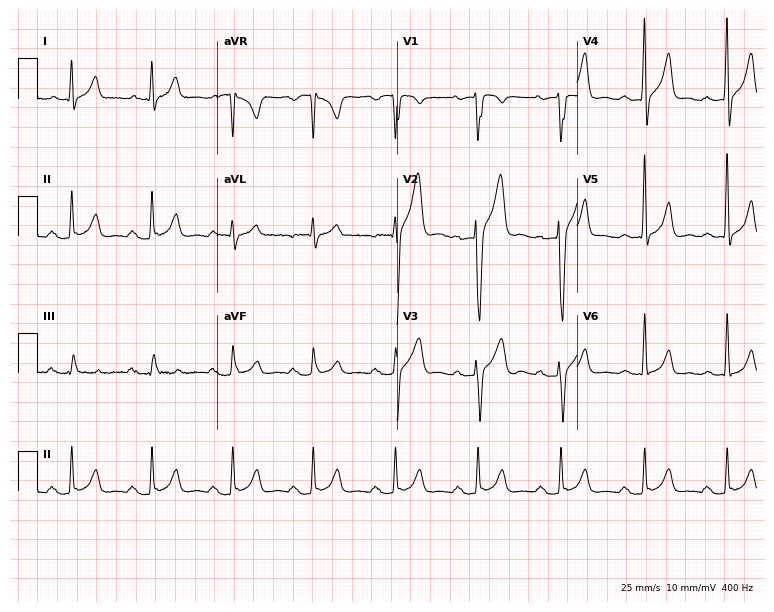
Electrocardiogram, a 41-year-old male patient. Overall reading on record: normal ECG.